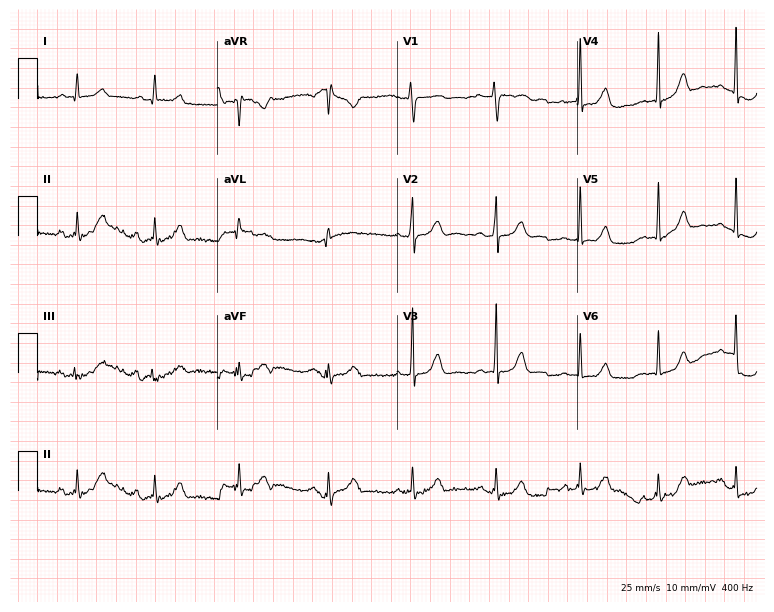
12-lead ECG from a 34-year-old woman (7.3-second recording at 400 Hz). Recorded interpretation: within normal limits.